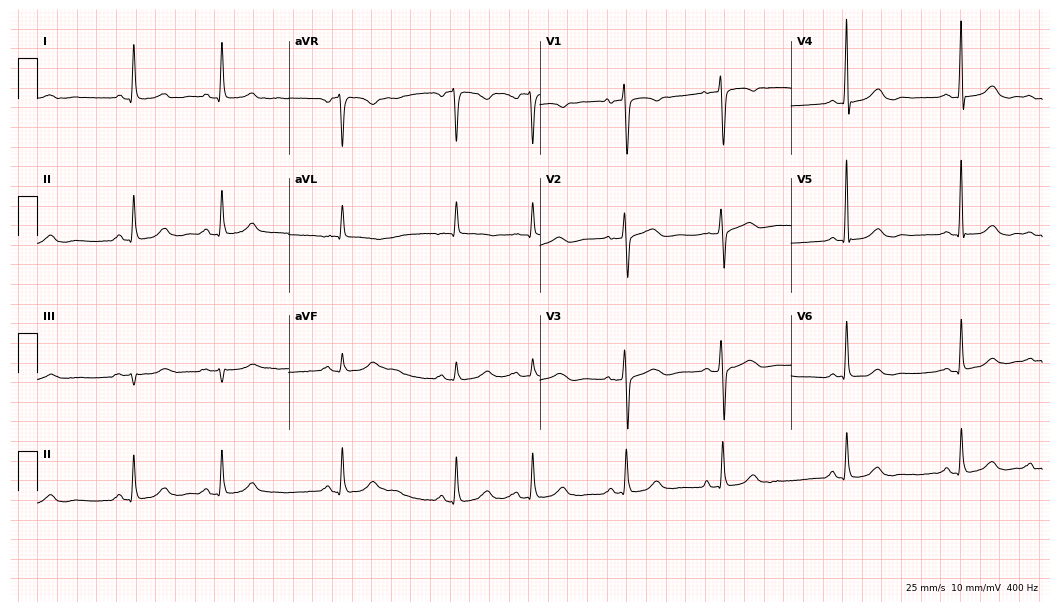
Resting 12-lead electrocardiogram. Patient: a 60-year-old female. None of these six findings is recorded: first-degree AV block, right bundle branch block, left bundle branch block, sinus bradycardia, atrial fibrillation, sinus tachycardia. Findings outside these six are not listed.